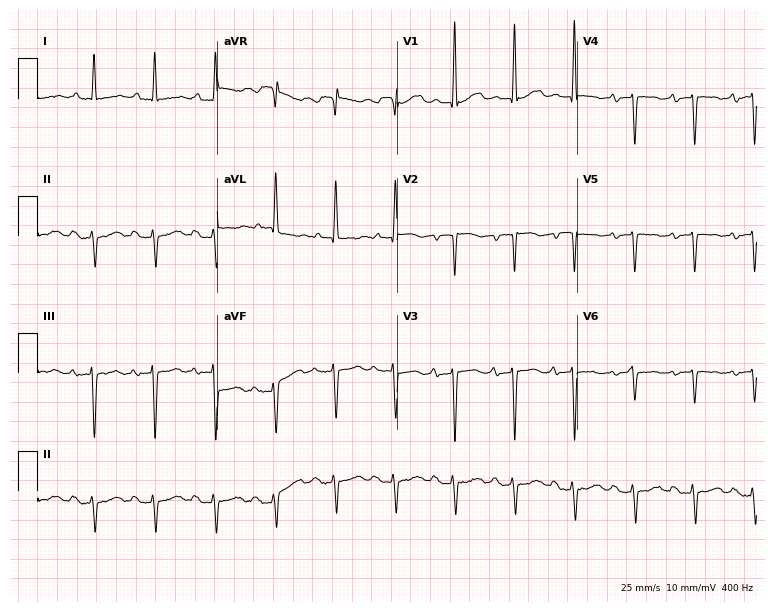
12-lead ECG from a 79-year-old female patient. Screened for six findings — first-degree AV block, right bundle branch block (RBBB), left bundle branch block (LBBB), sinus bradycardia, atrial fibrillation (AF), sinus tachycardia — none is recorded.